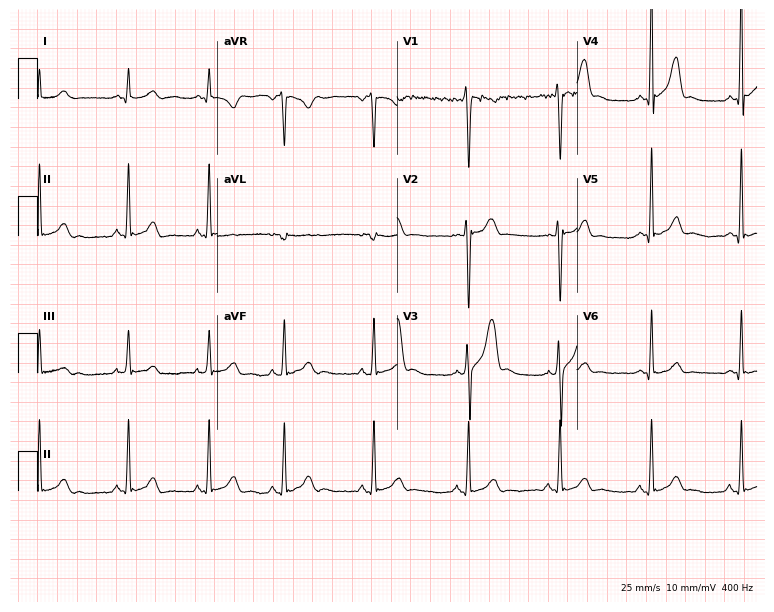
Resting 12-lead electrocardiogram (7.3-second recording at 400 Hz). Patient: a 21-year-old male. None of these six findings is recorded: first-degree AV block, right bundle branch block (RBBB), left bundle branch block (LBBB), sinus bradycardia, atrial fibrillation (AF), sinus tachycardia.